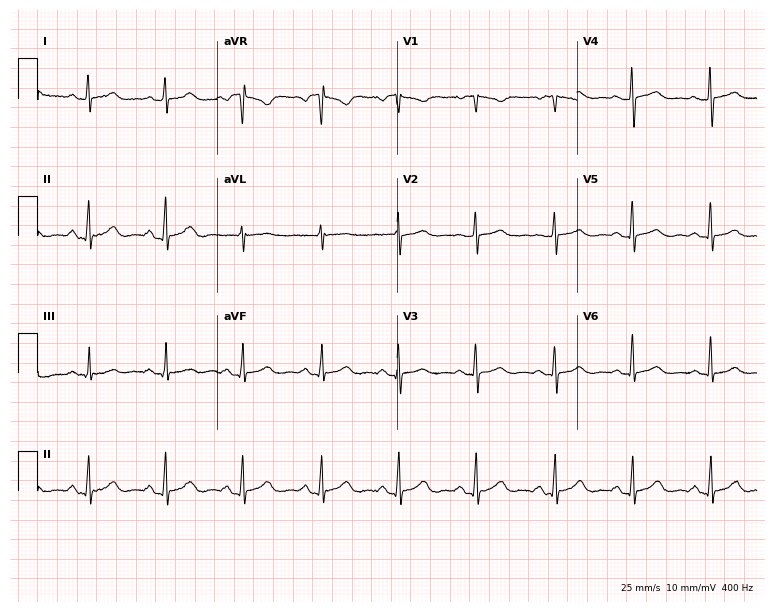
Resting 12-lead electrocardiogram (7.3-second recording at 400 Hz). Patient: a woman, 63 years old. Read as a normal ECG.